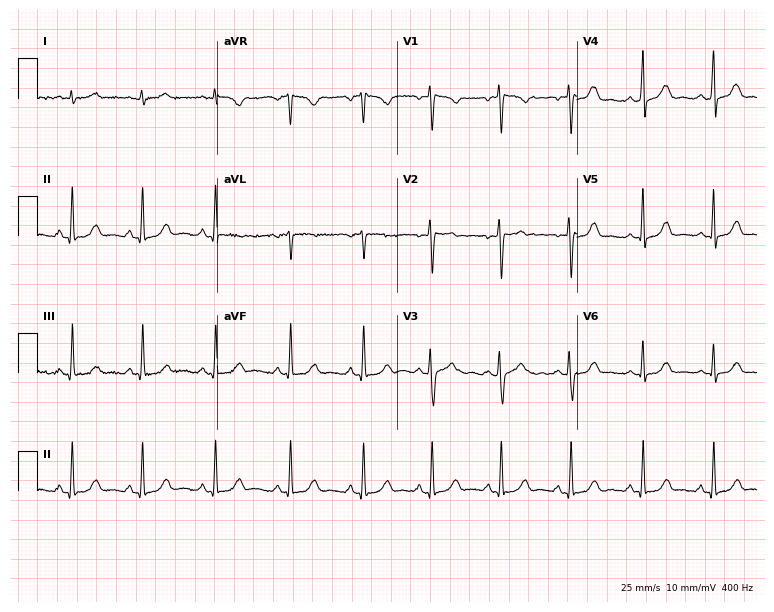
Standard 12-lead ECG recorded from a 29-year-old female patient (7.3-second recording at 400 Hz). Read as a normal ECG.